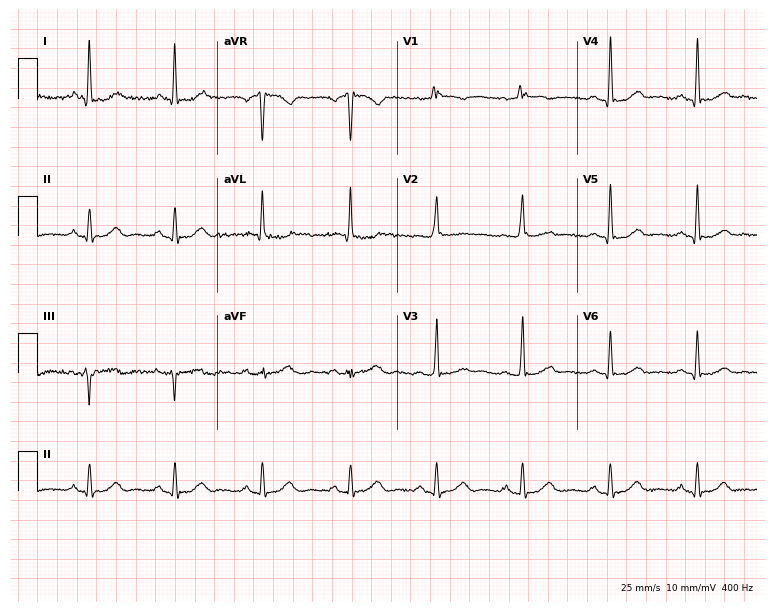
Resting 12-lead electrocardiogram. Patient: a woman, 67 years old. Read as a normal ECG.